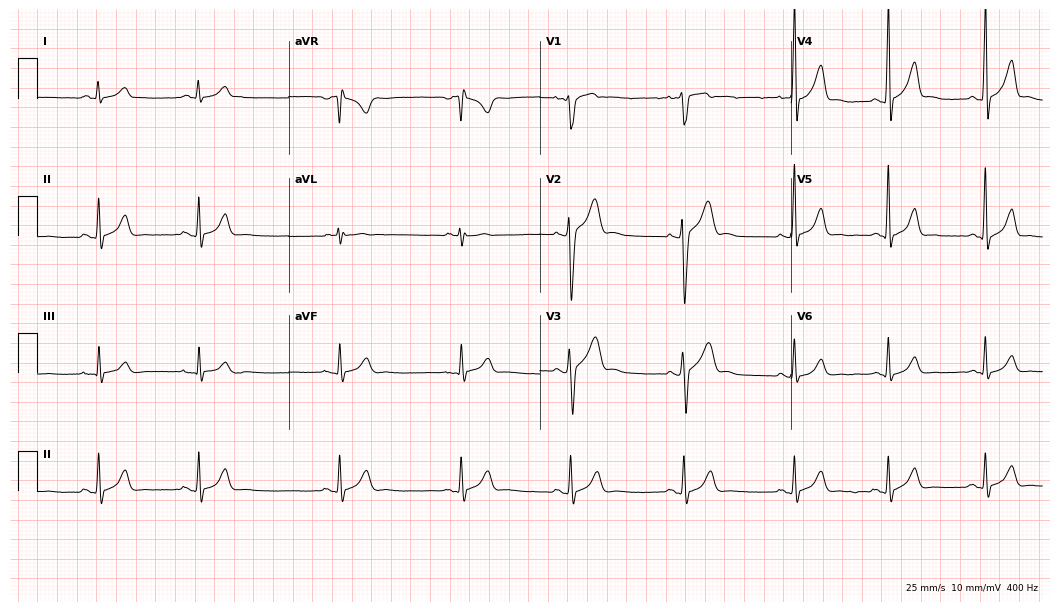
Resting 12-lead electrocardiogram. Patient: a 24-year-old male. Read as a normal ECG.